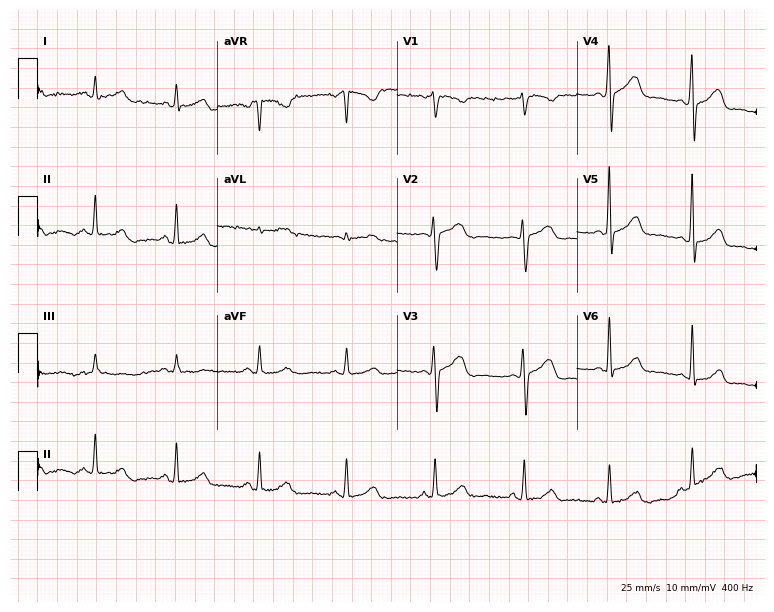
Electrocardiogram (7.3-second recording at 400 Hz), a female, 34 years old. Of the six screened findings (first-degree AV block, right bundle branch block (RBBB), left bundle branch block (LBBB), sinus bradycardia, atrial fibrillation (AF), sinus tachycardia), none is recorded.